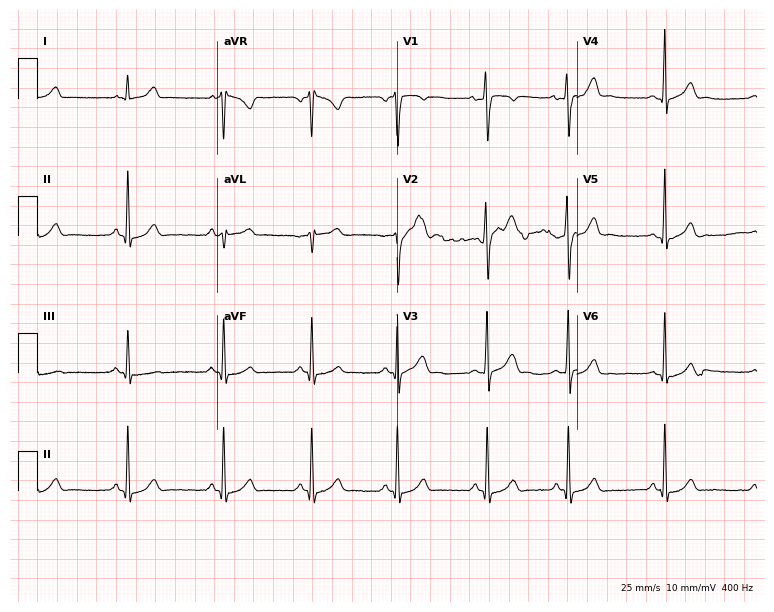
ECG (7.3-second recording at 400 Hz) — a male, 21 years old. Screened for six findings — first-degree AV block, right bundle branch block, left bundle branch block, sinus bradycardia, atrial fibrillation, sinus tachycardia — none is recorded.